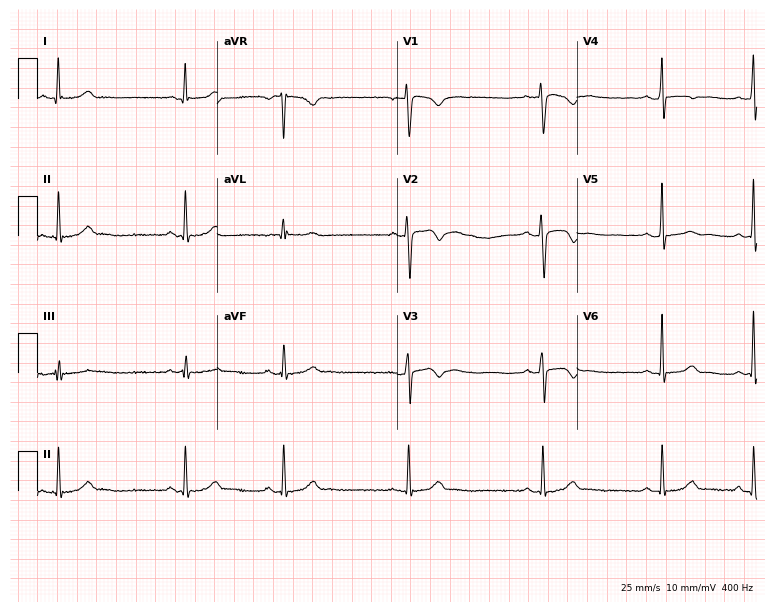
Electrocardiogram, a woman, 29 years old. Of the six screened findings (first-degree AV block, right bundle branch block, left bundle branch block, sinus bradycardia, atrial fibrillation, sinus tachycardia), none is recorded.